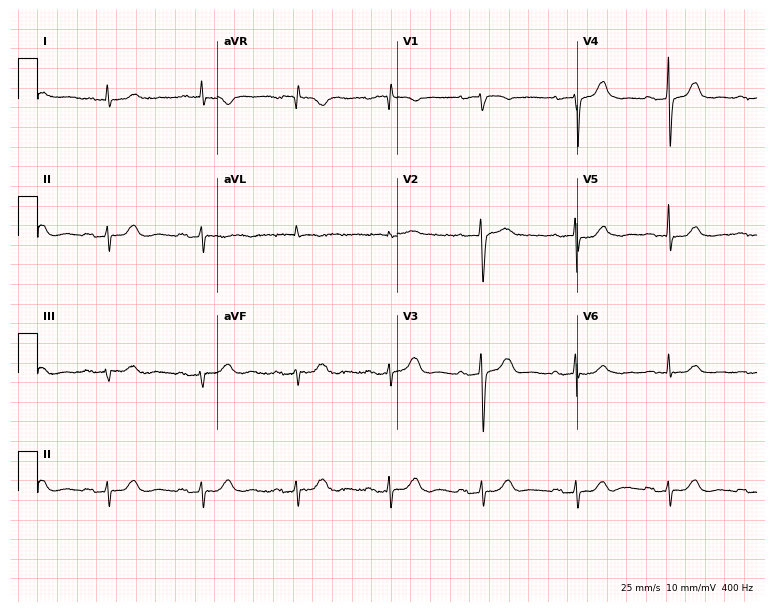
12-lead ECG from a male patient, 84 years old. No first-degree AV block, right bundle branch block, left bundle branch block, sinus bradycardia, atrial fibrillation or sinus tachycardia recorded for this tracing. Other findings, if any, are not listed.